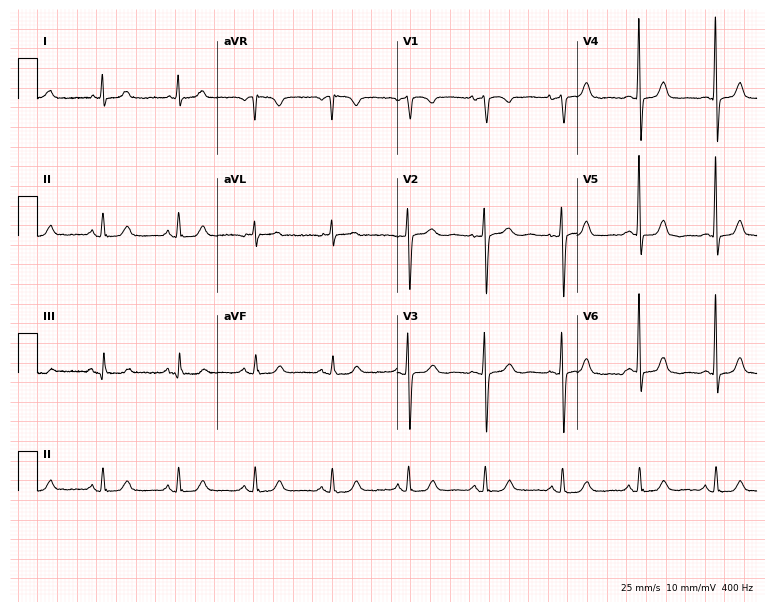
Standard 12-lead ECG recorded from a 72-year-old female (7.3-second recording at 400 Hz). Read as a normal ECG.